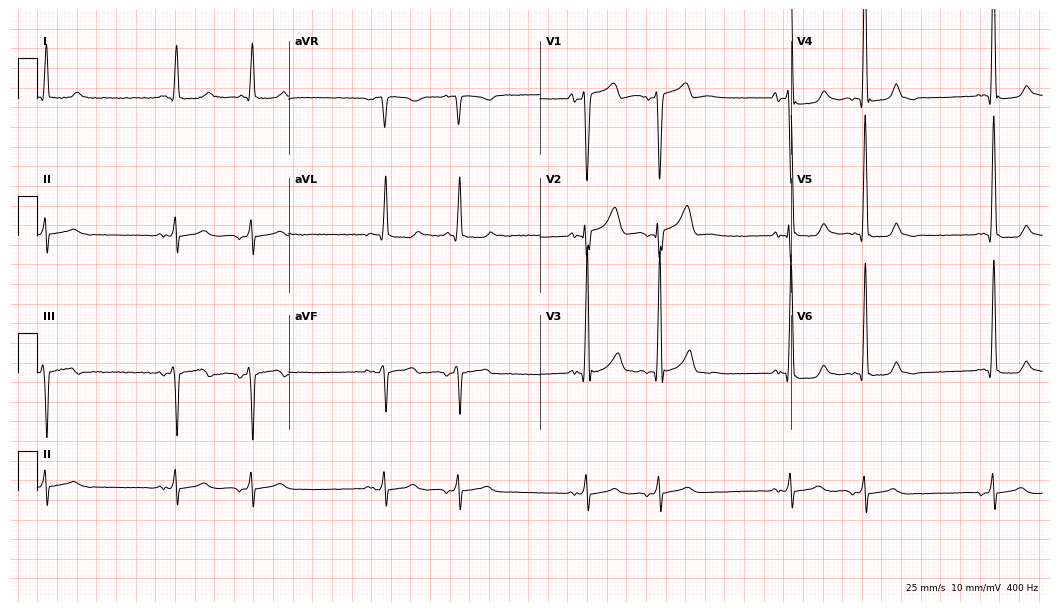
12-lead ECG from a male patient, 76 years old (10.2-second recording at 400 Hz). No first-degree AV block, right bundle branch block, left bundle branch block, sinus bradycardia, atrial fibrillation or sinus tachycardia recorded for this tracing. Other findings, if any, are not listed.